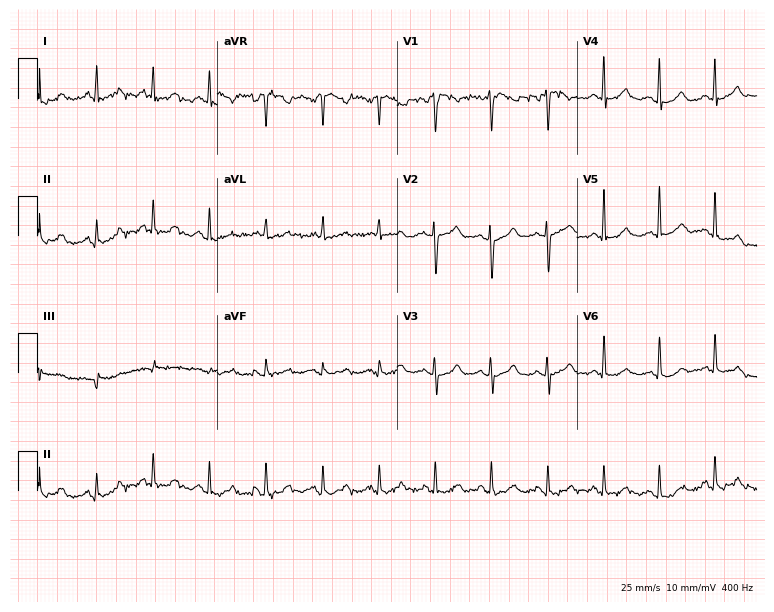
Standard 12-lead ECG recorded from a 41-year-old female (7.3-second recording at 400 Hz). The tracing shows sinus tachycardia (a sinus rate of 100 beats per minute or more).